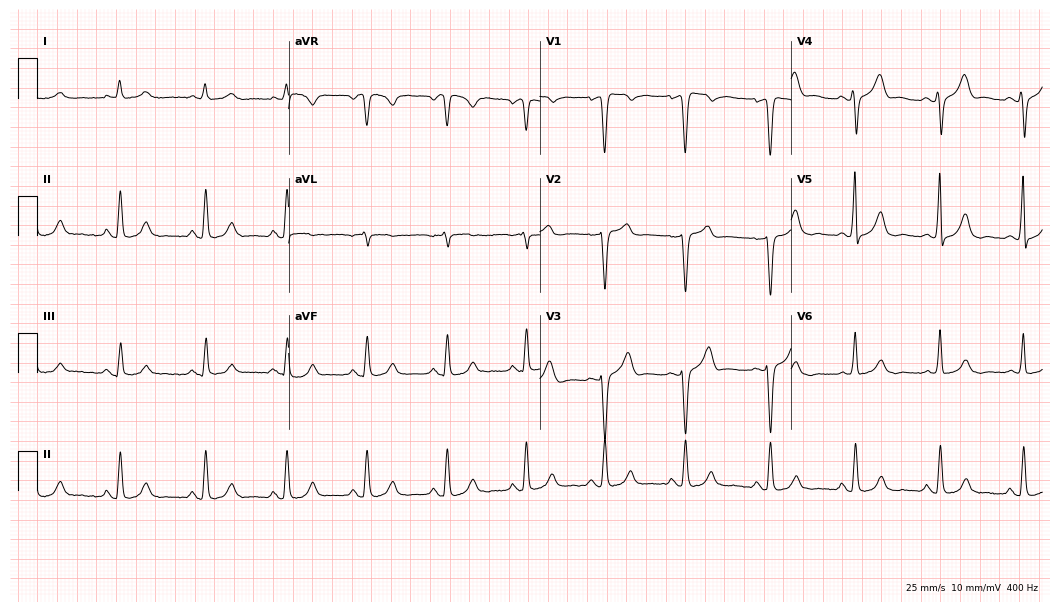
Resting 12-lead electrocardiogram (10.2-second recording at 400 Hz). Patient: a male, 73 years old. Read as a normal ECG.